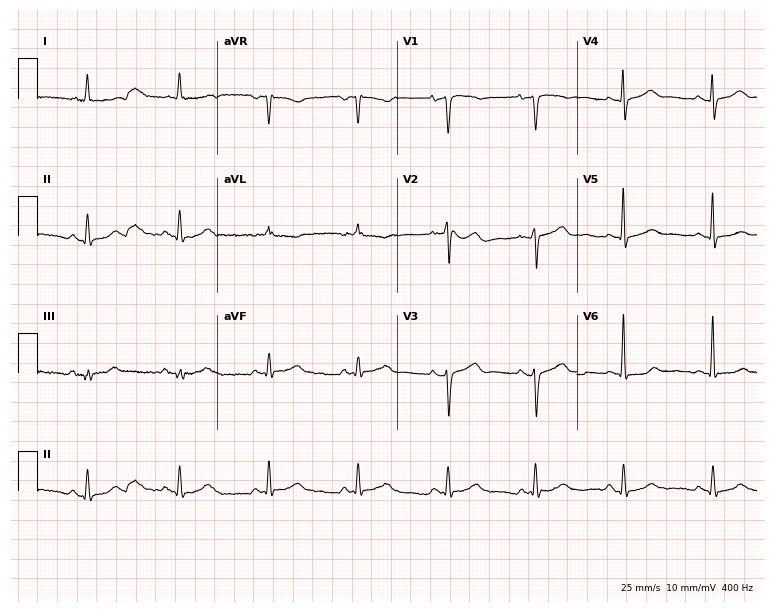
12-lead ECG (7.3-second recording at 400 Hz) from a 77-year-old female. Labelled as a normal ECG.